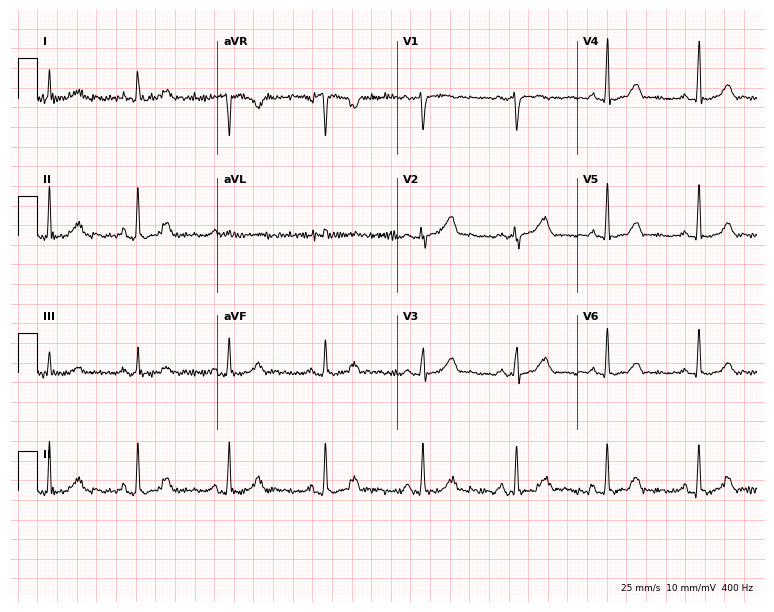
Resting 12-lead electrocardiogram. Patient: a 59-year-old woman. Read as a normal ECG.